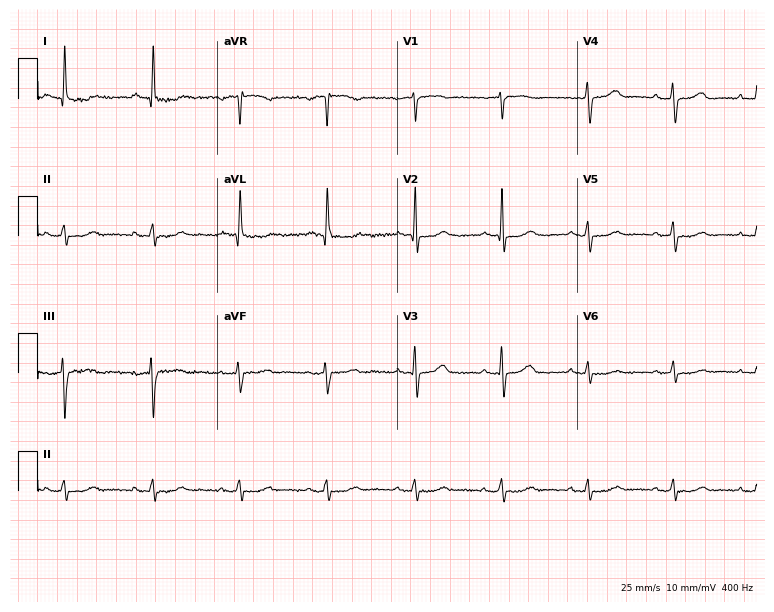
ECG (7.3-second recording at 400 Hz) — a female, 80 years old. Labelled as a normal ECG.